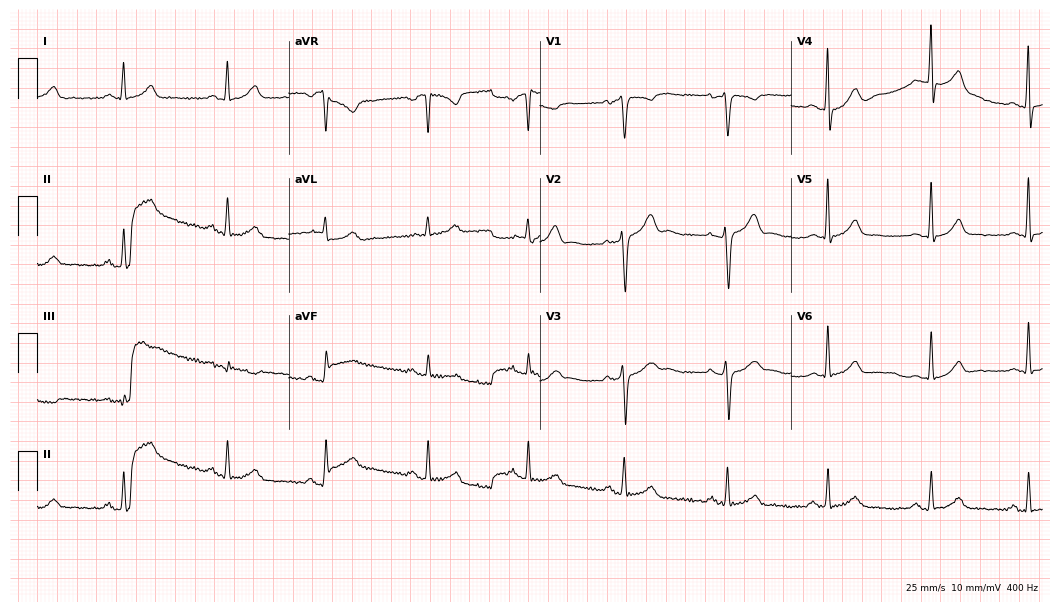
ECG (10.2-second recording at 400 Hz) — a 50-year-old male. Labelled as a normal ECG.